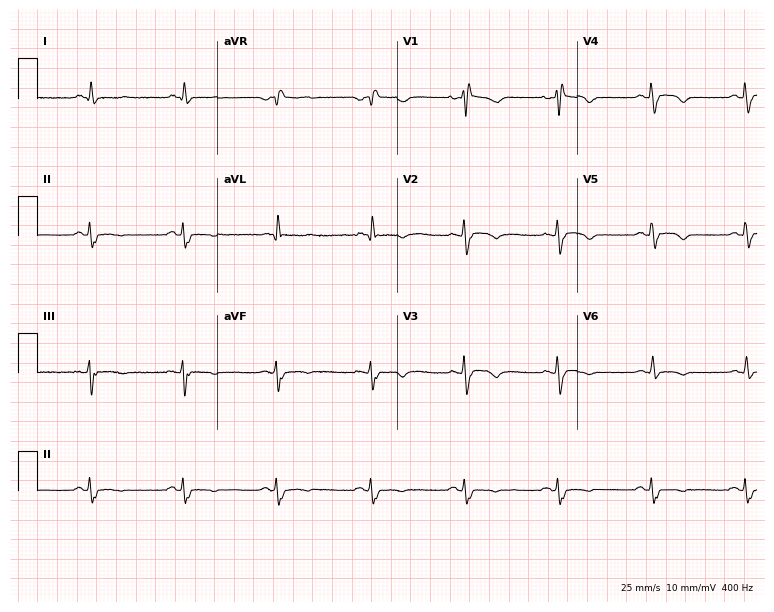
Standard 12-lead ECG recorded from a 39-year-old man. The tracing shows right bundle branch block.